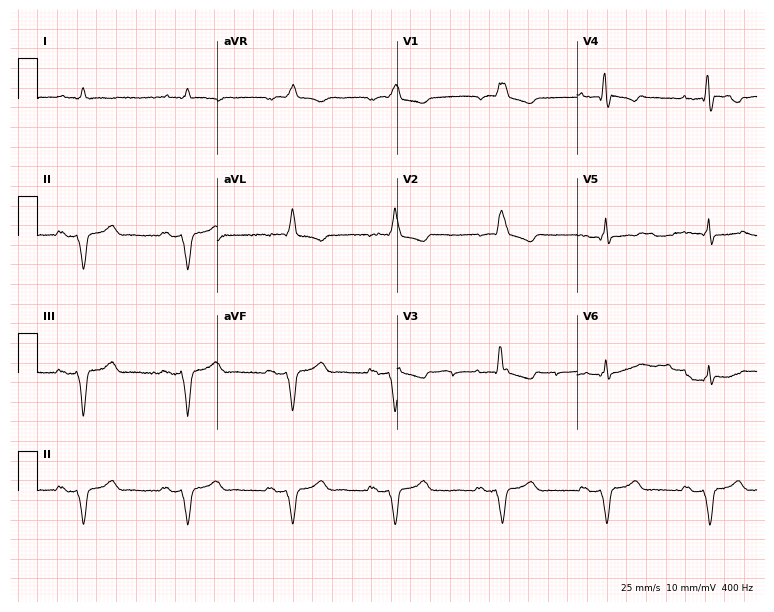
12-lead ECG from a man, 83 years old. Findings include right bundle branch block.